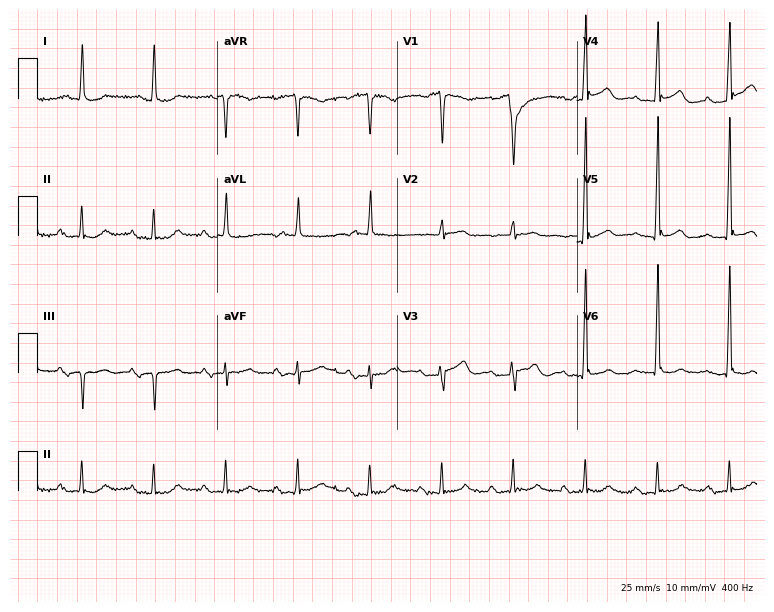
Resting 12-lead electrocardiogram (7.3-second recording at 400 Hz). Patient: a male, 78 years old. None of these six findings is recorded: first-degree AV block, right bundle branch block, left bundle branch block, sinus bradycardia, atrial fibrillation, sinus tachycardia.